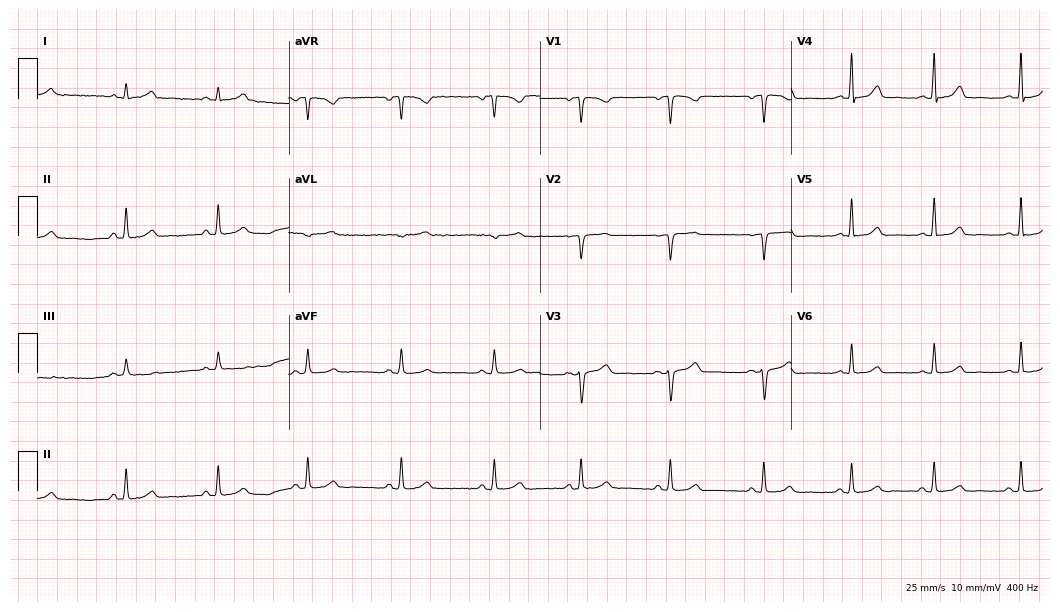
ECG (10.2-second recording at 400 Hz) — a woman, 39 years old. Screened for six findings — first-degree AV block, right bundle branch block, left bundle branch block, sinus bradycardia, atrial fibrillation, sinus tachycardia — none is recorded.